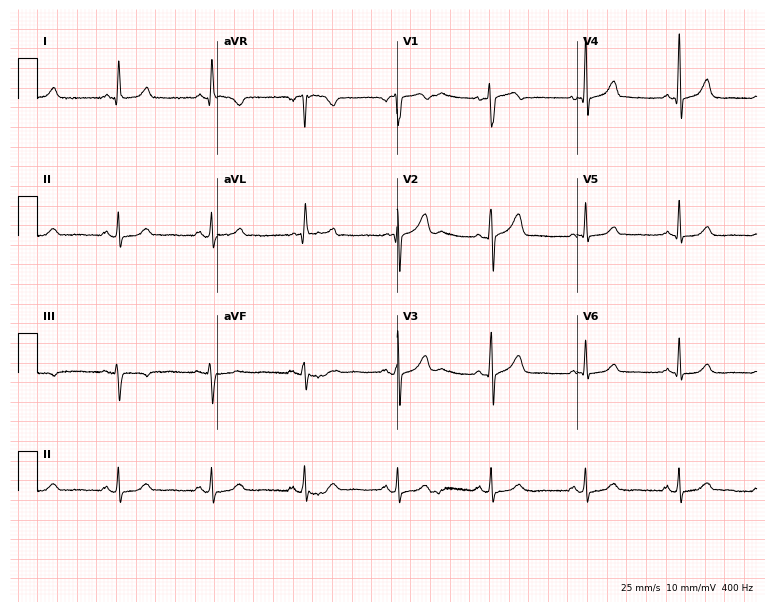
12-lead ECG from a 54-year-old woman (7.3-second recording at 400 Hz). No first-degree AV block, right bundle branch block, left bundle branch block, sinus bradycardia, atrial fibrillation or sinus tachycardia recorded for this tracing. Other findings, if any, are not listed.